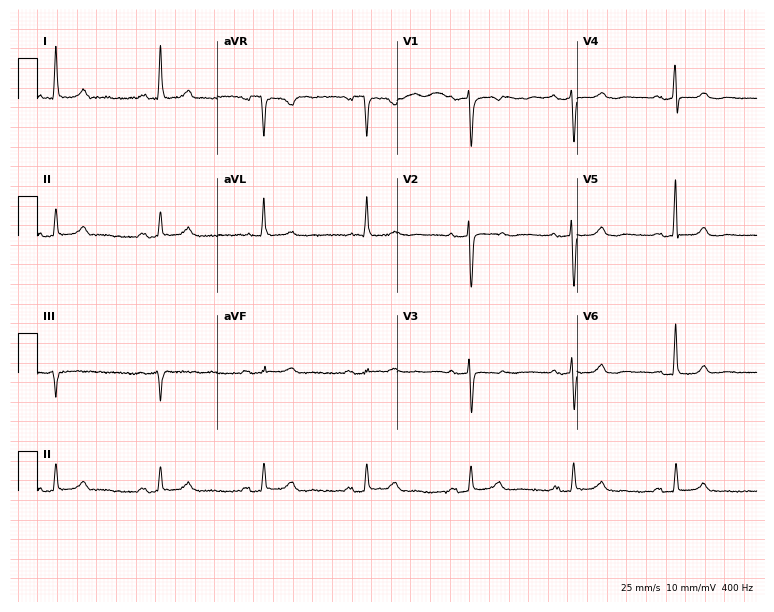
Standard 12-lead ECG recorded from a 77-year-old female (7.3-second recording at 400 Hz). None of these six findings is recorded: first-degree AV block, right bundle branch block, left bundle branch block, sinus bradycardia, atrial fibrillation, sinus tachycardia. Only these six findings were labelled.